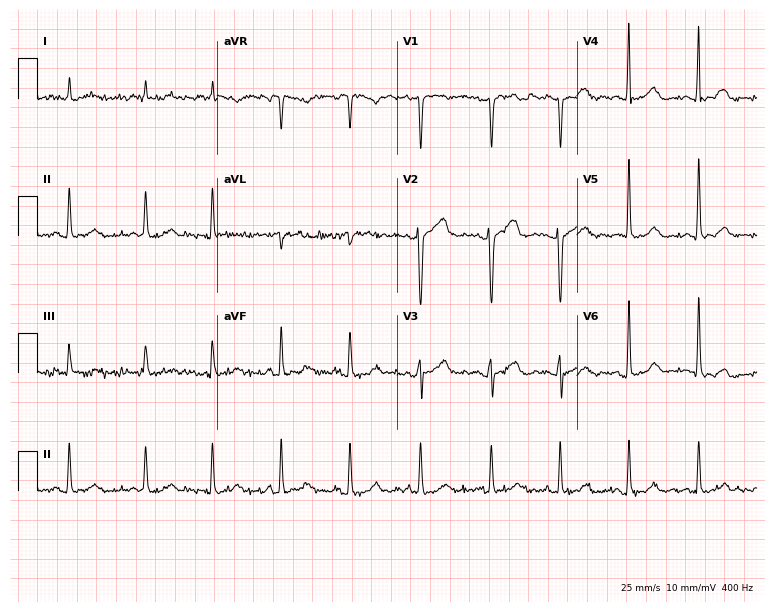
12-lead ECG (7.3-second recording at 400 Hz) from a female, 81 years old. Labelled as a normal ECG.